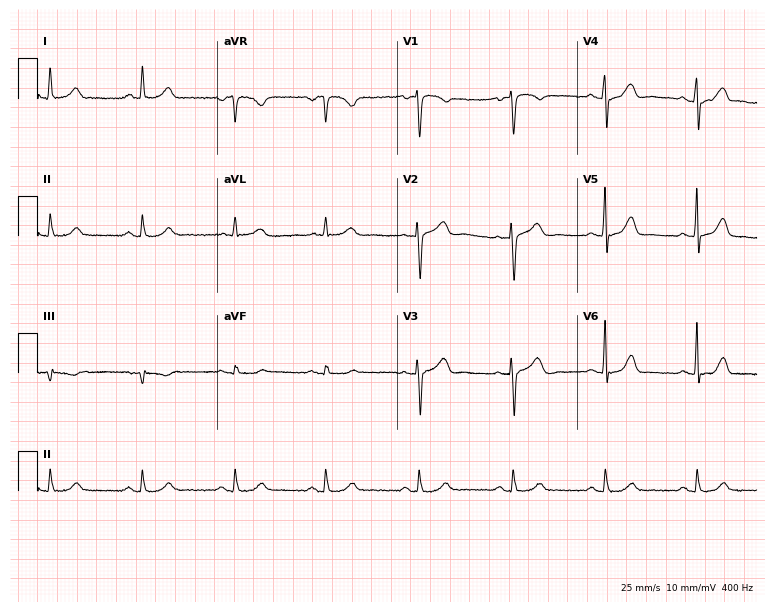
Standard 12-lead ECG recorded from a female, 51 years old. Read as a normal ECG.